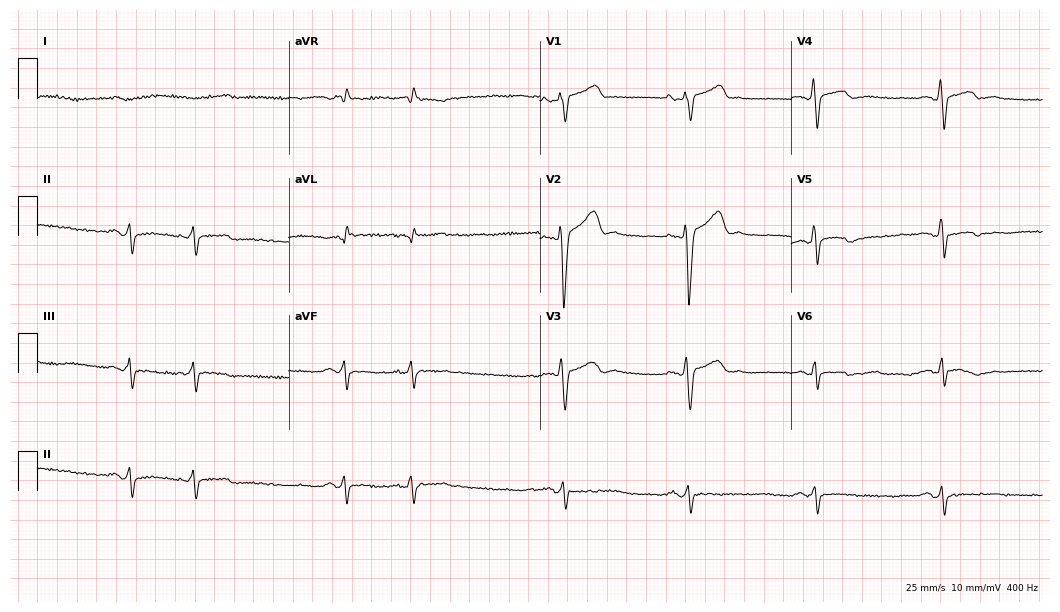
Resting 12-lead electrocardiogram (10.2-second recording at 400 Hz). Patient: a 47-year-old male. None of these six findings is recorded: first-degree AV block, right bundle branch block, left bundle branch block, sinus bradycardia, atrial fibrillation, sinus tachycardia. Findings outside these six are not listed.